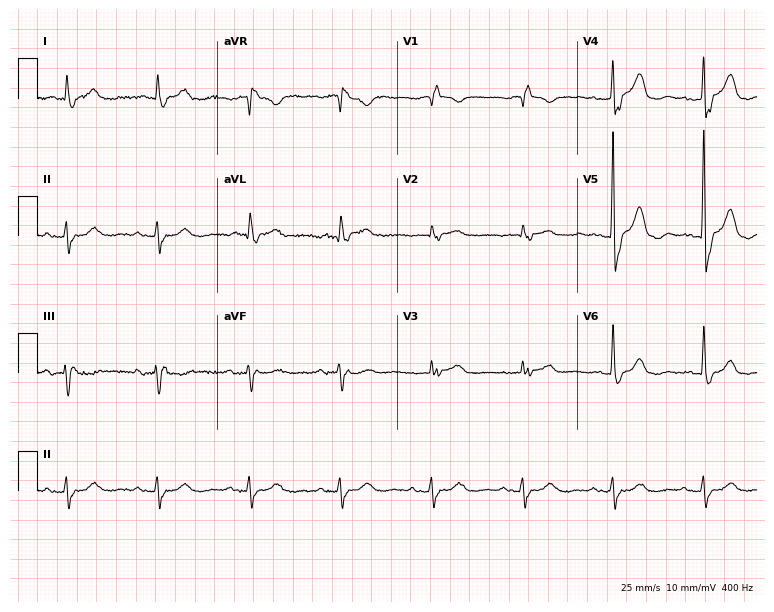
12-lead ECG from an 81-year-old male patient. Findings include right bundle branch block.